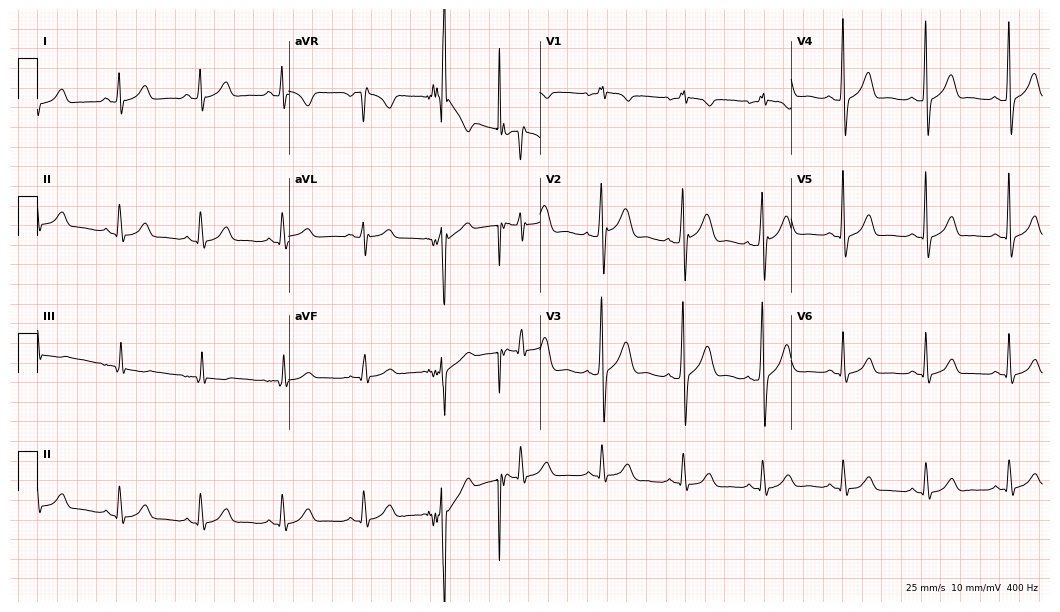
Resting 12-lead electrocardiogram (10.2-second recording at 400 Hz). Patient: a 32-year-old male. None of these six findings is recorded: first-degree AV block, right bundle branch block, left bundle branch block, sinus bradycardia, atrial fibrillation, sinus tachycardia.